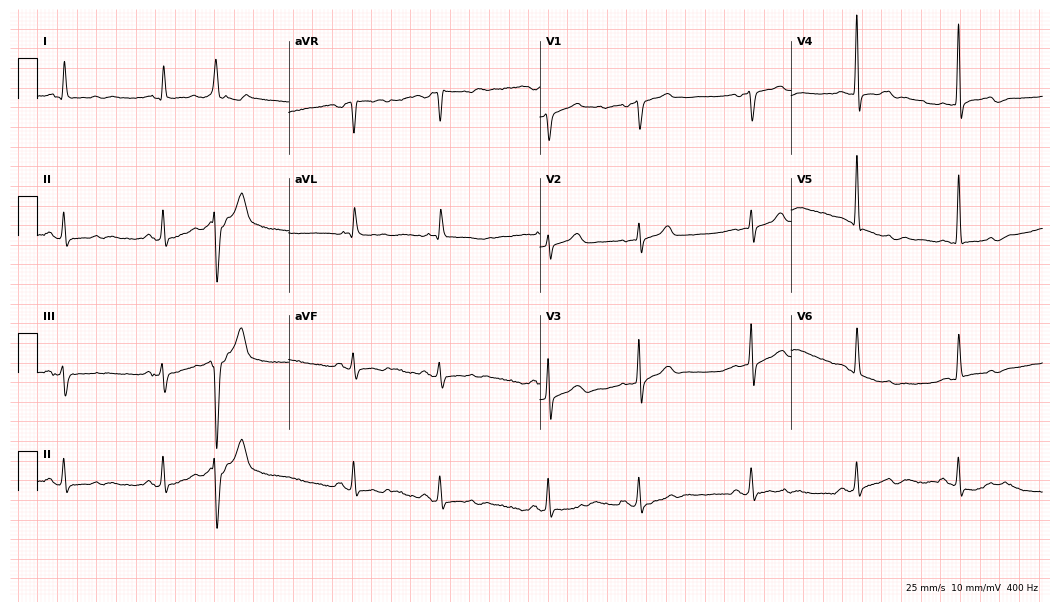
Electrocardiogram, a male patient, 75 years old. Of the six screened findings (first-degree AV block, right bundle branch block, left bundle branch block, sinus bradycardia, atrial fibrillation, sinus tachycardia), none is recorded. Findings outside these six are not listed.